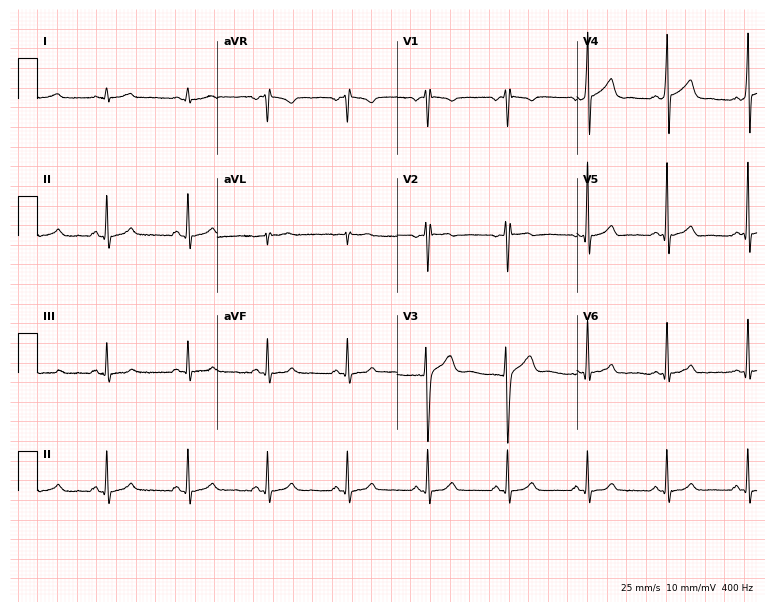
Resting 12-lead electrocardiogram (7.3-second recording at 400 Hz). Patient: a man, 23 years old. None of these six findings is recorded: first-degree AV block, right bundle branch block, left bundle branch block, sinus bradycardia, atrial fibrillation, sinus tachycardia. Other findings, if any, are not listed.